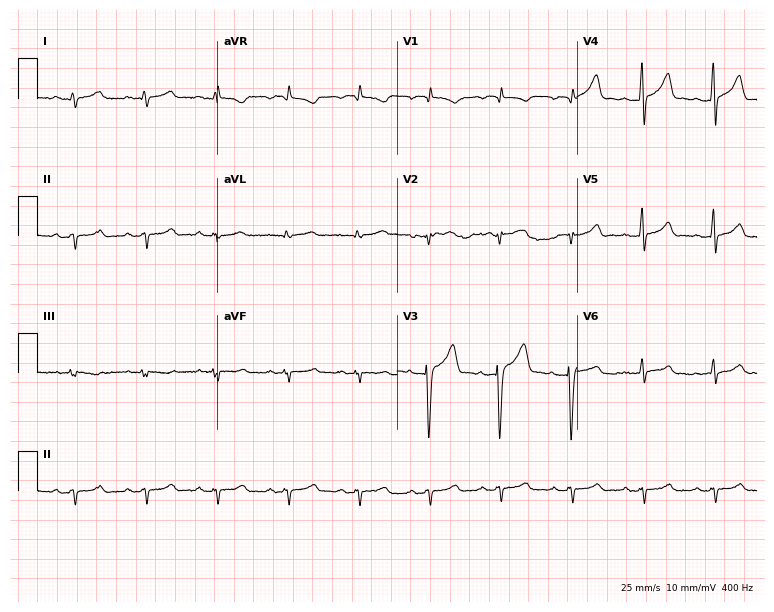
Electrocardiogram, a male patient, 32 years old. Of the six screened findings (first-degree AV block, right bundle branch block (RBBB), left bundle branch block (LBBB), sinus bradycardia, atrial fibrillation (AF), sinus tachycardia), none is recorded.